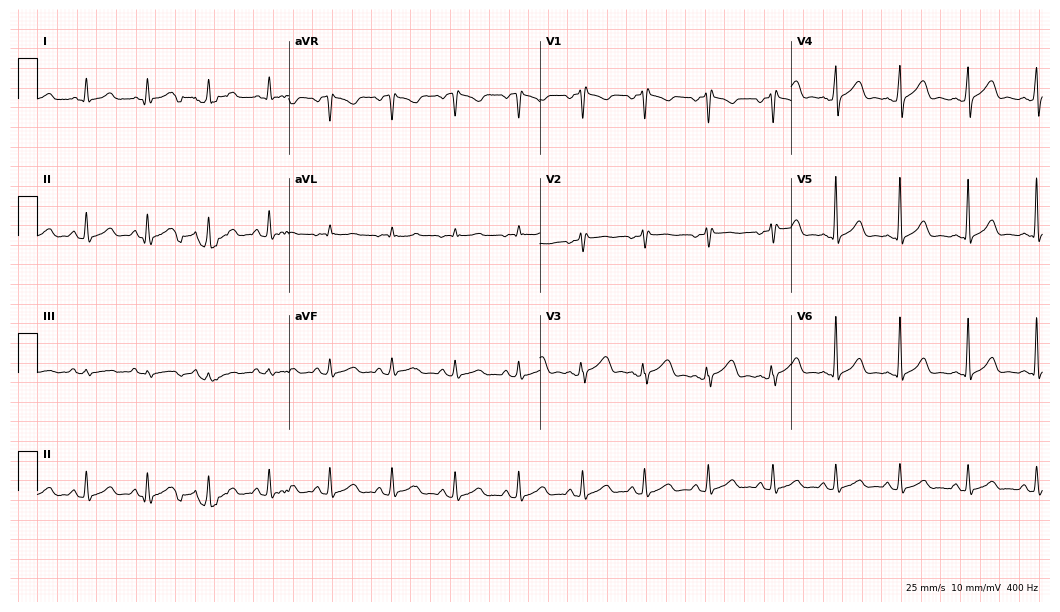
Electrocardiogram (10.2-second recording at 400 Hz), a 21-year-old female. Of the six screened findings (first-degree AV block, right bundle branch block (RBBB), left bundle branch block (LBBB), sinus bradycardia, atrial fibrillation (AF), sinus tachycardia), none is recorded.